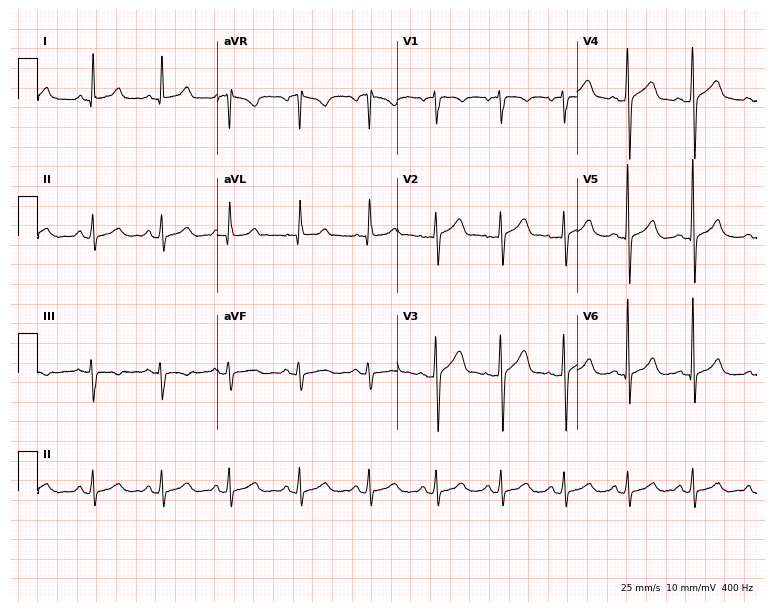
Electrocardiogram (7.3-second recording at 400 Hz), a 50-year-old man. Overall reading on record: normal ECG.